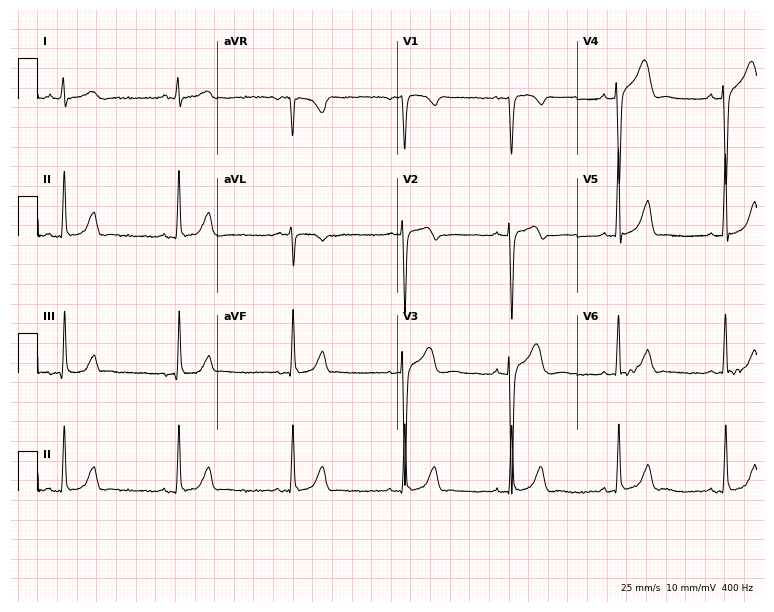
12-lead ECG (7.3-second recording at 400 Hz) from a male, 44 years old. Screened for six findings — first-degree AV block, right bundle branch block, left bundle branch block, sinus bradycardia, atrial fibrillation, sinus tachycardia — none is recorded. Findings outside these six are not listed.